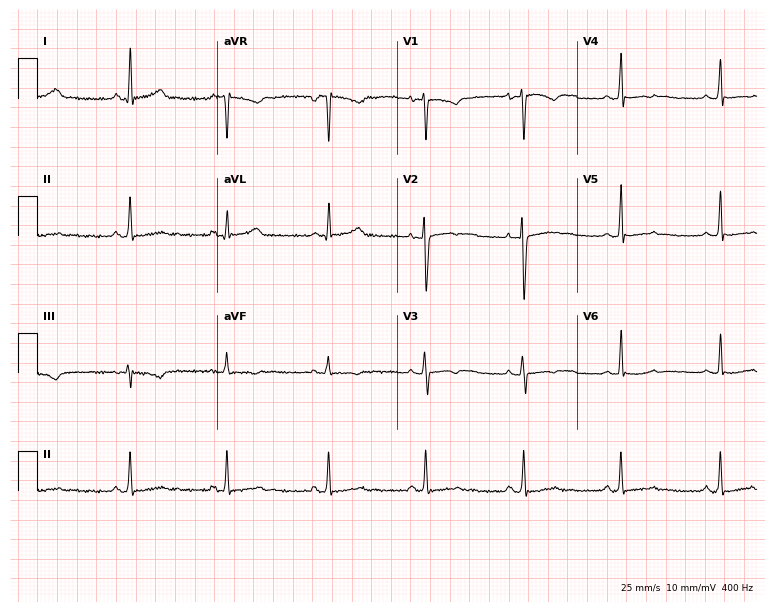
ECG — a 27-year-old female. Screened for six findings — first-degree AV block, right bundle branch block (RBBB), left bundle branch block (LBBB), sinus bradycardia, atrial fibrillation (AF), sinus tachycardia — none is recorded. Findings outside these six are not listed.